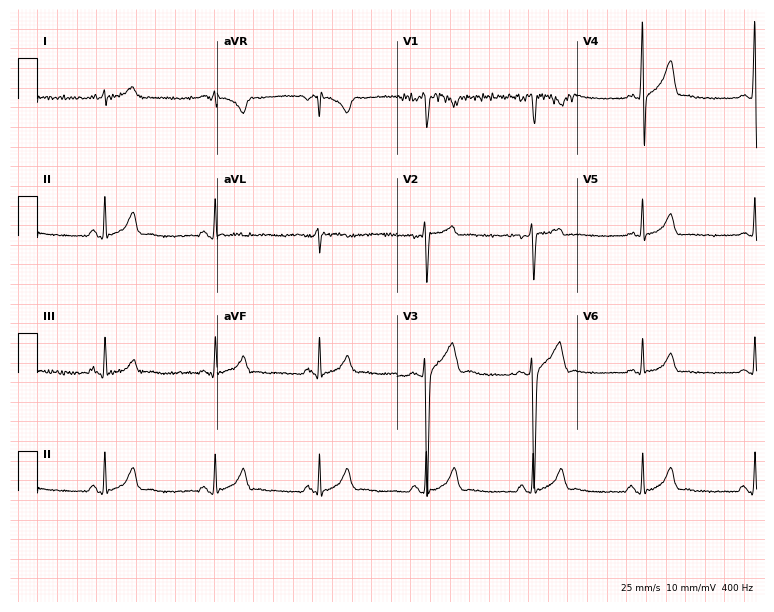
Resting 12-lead electrocardiogram (7.3-second recording at 400 Hz). Patient: a man, 43 years old. None of these six findings is recorded: first-degree AV block, right bundle branch block, left bundle branch block, sinus bradycardia, atrial fibrillation, sinus tachycardia. Only these six findings were labelled.